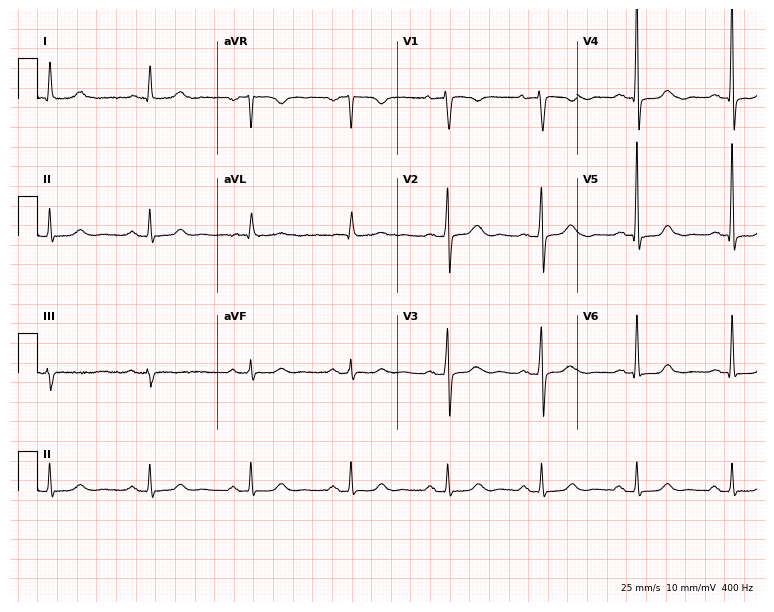
12-lead ECG from a female, 70 years old. Screened for six findings — first-degree AV block, right bundle branch block, left bundle branch block, sinus bradycardia, atrial fibrillation, sinus tachycardia — none is recorded. Findings outside these six are not listed.